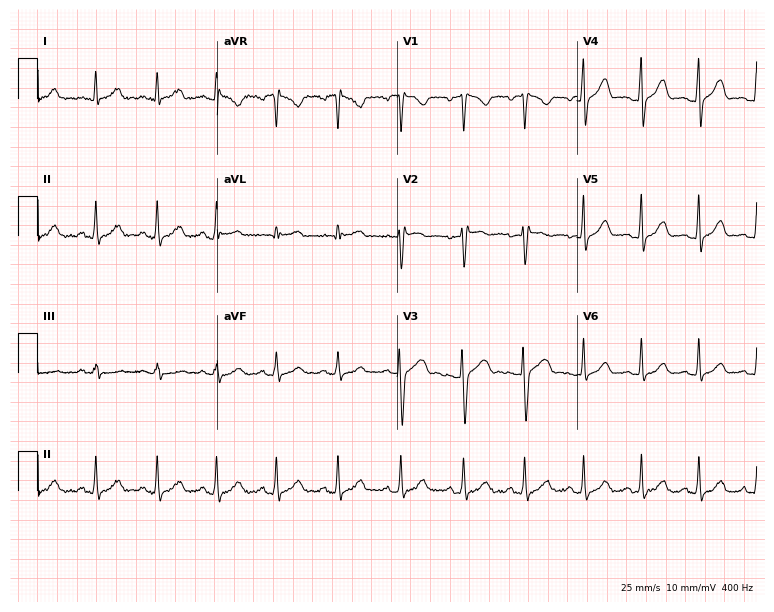
12-lead ECG from a woman, 33 years old (7.3-second recording at 400 Hz). Recorded interpretation: within normal limits.